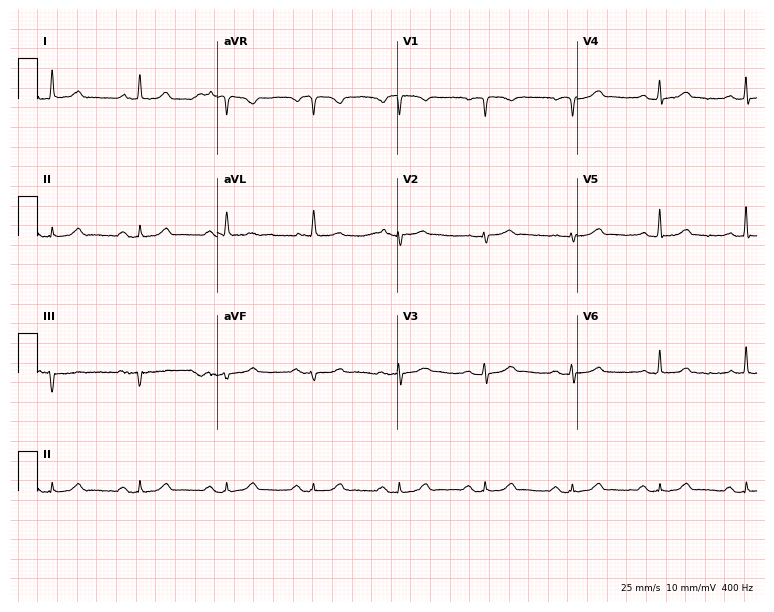
Electrocardiogram (7.3-second recording at 400 Hz), a man, 76 years old. Overall reading on record: normal ECG.